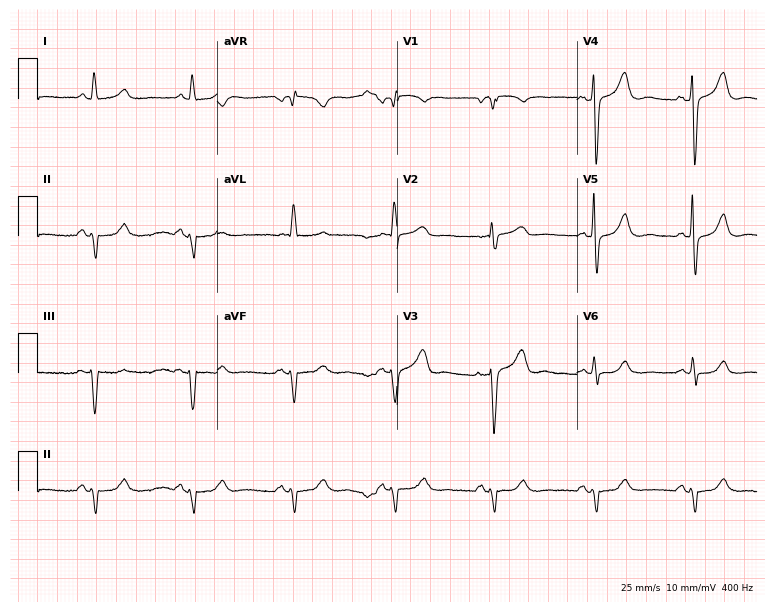
Resting 12-lead electrocardiogram. Patient: an 84-year-old woman. None of these six findings is recorded: first-degree AV block, right bundle branch block, left bundle branch block, sinus bradycardia, atrial fibrillation, sinus tachycardia.